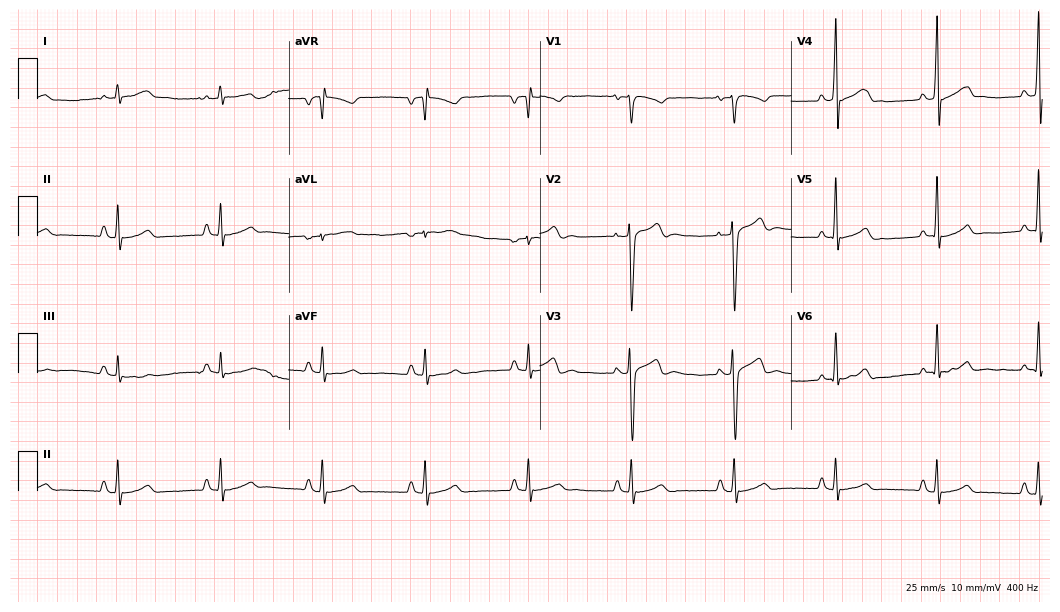
Electrocardiogram (10.2-second recording at 400 Hz), a 17-year-old male. Overall reading on record: normal ECG.